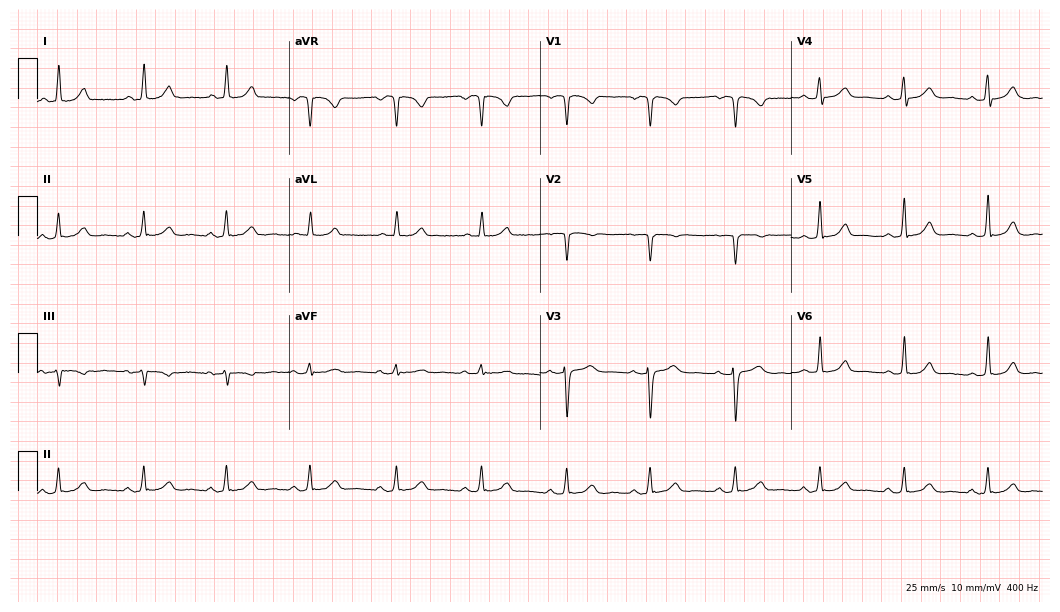
Electrocardiogram (10.2-second recording at 400 Hz), a woman, 39 years old. Overall reading on record: normal ECG.